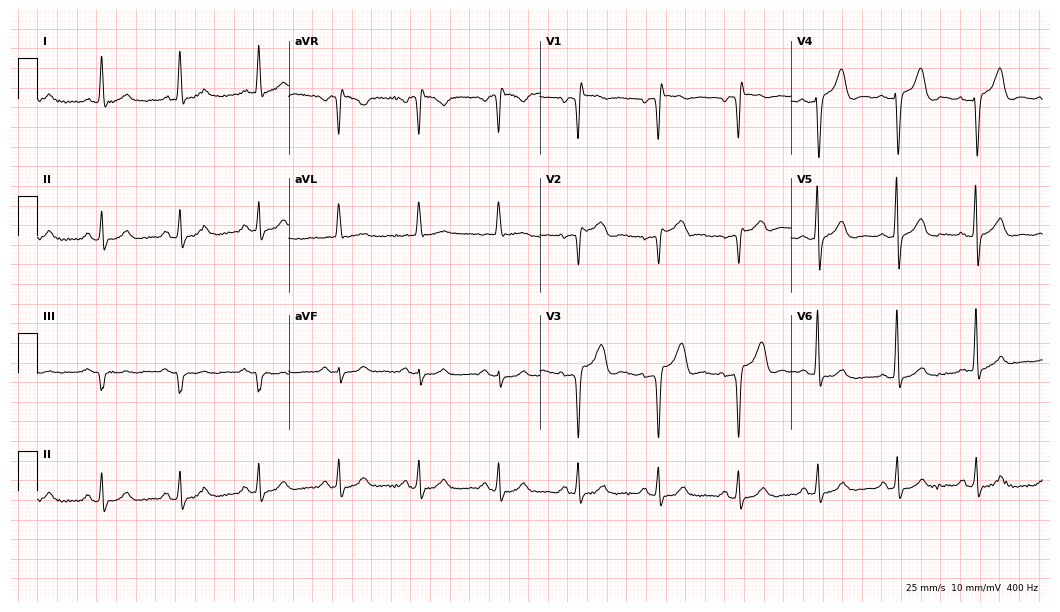
Electrocardiogram (10.2-second recording at 400 Hz), a male, 72 years old. Of the six screened findings (first-degree AV block, right bundle branch block (RBBB), left bundle branch block (LBBB), sinus bradycardia, atrial fibrillation (AF), sinus tachycardia), none is recorded.